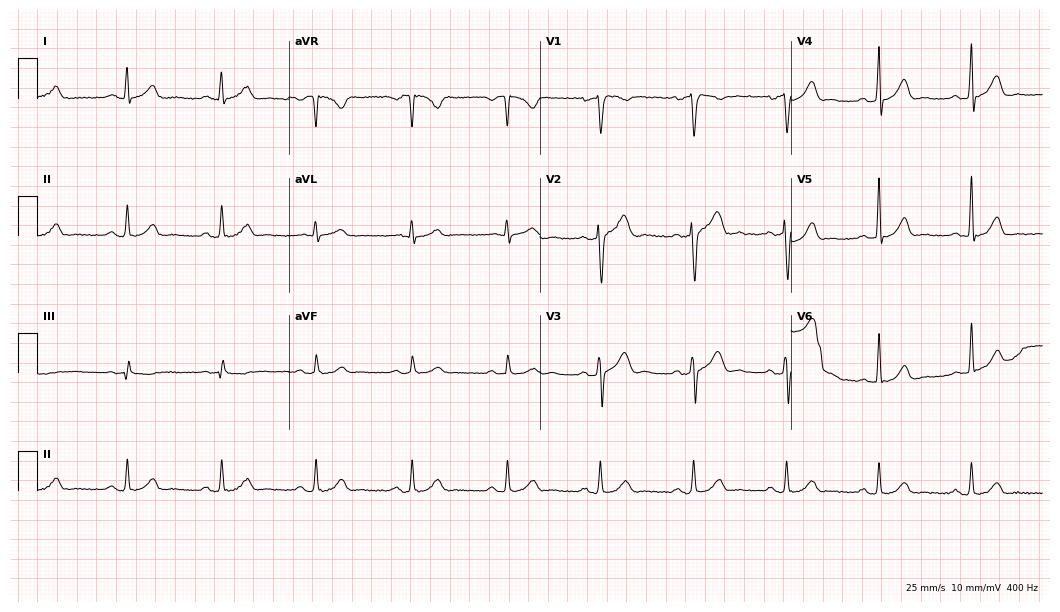
Standard 12-lead ECG recorded from a male patient, 37 years old (10.2-second recording at 400 Hz). Read as a normal ECG.